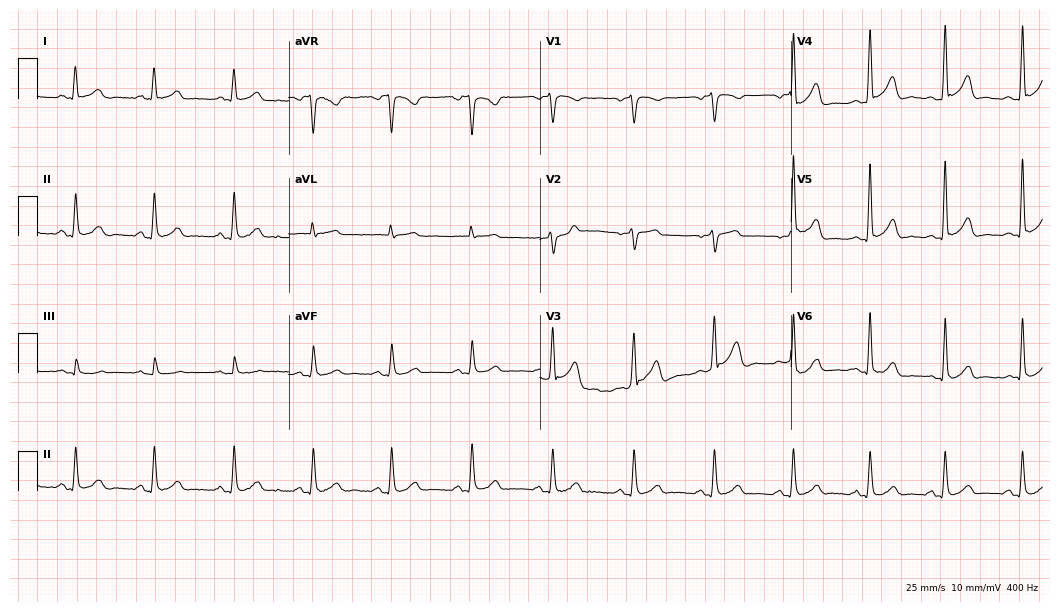
Resting 12-lead electrocardiogram (10.2-second recording at 400 Hz). Patient: a 59-year-old male. Read as a normal ECG.